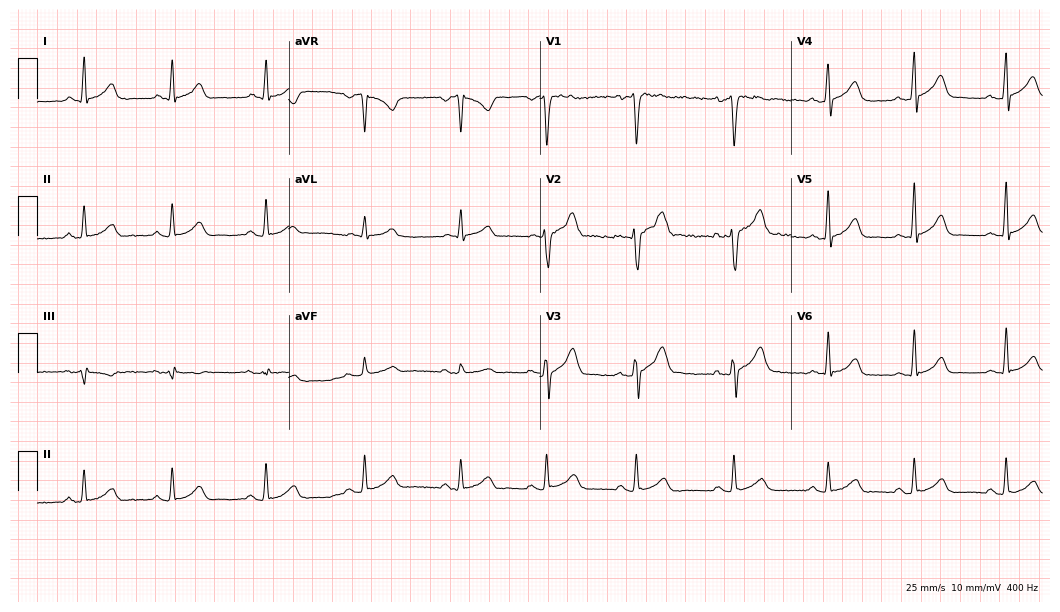
12-lead ECG from a 27-year-old male patient. Labelled as a normal ECG.